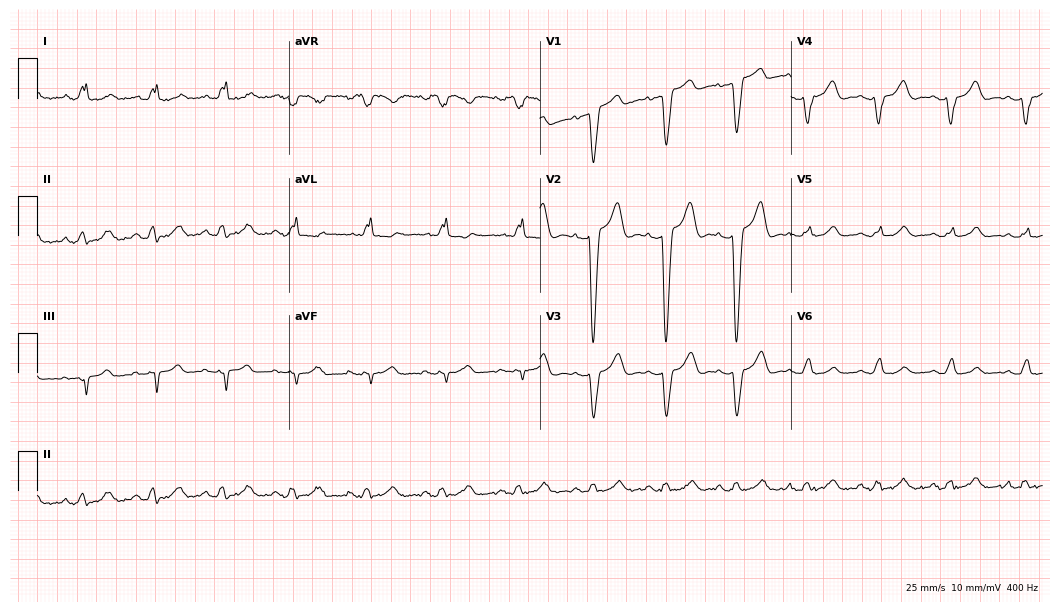
Electrocardiogram (10.2-second recording at 400 Hz), a 52-year-old female. Of the six screened findings (first-degree AV block, right bundle branch block, left bundle branch block, sinus bradycardia, atrial fibrillation, sinus tachycardia), none is recorded.